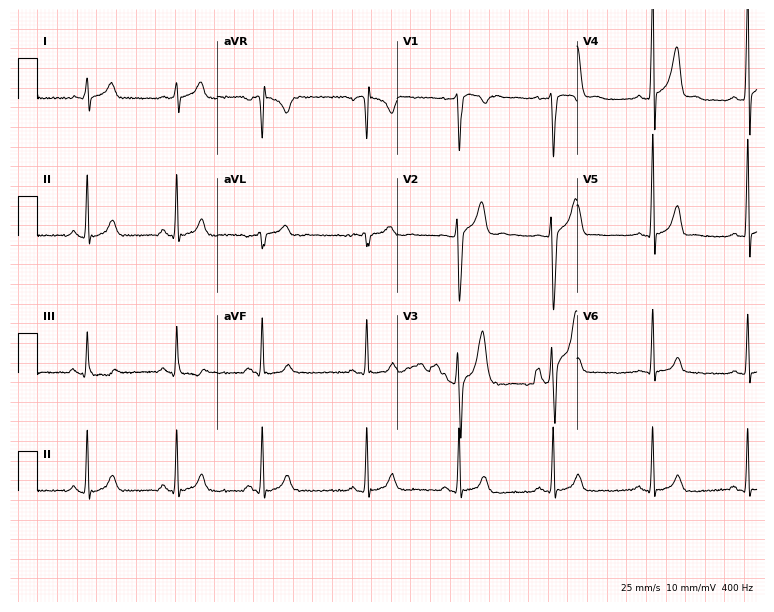
Electrocardiogram, a 21-year-old male patient. Of the six screened findings (first-degree AV block, right bundle branch block, left bundle branch block, sinus bradycardia, atrial fibrillation, sinus tachycardia), none is recorded.